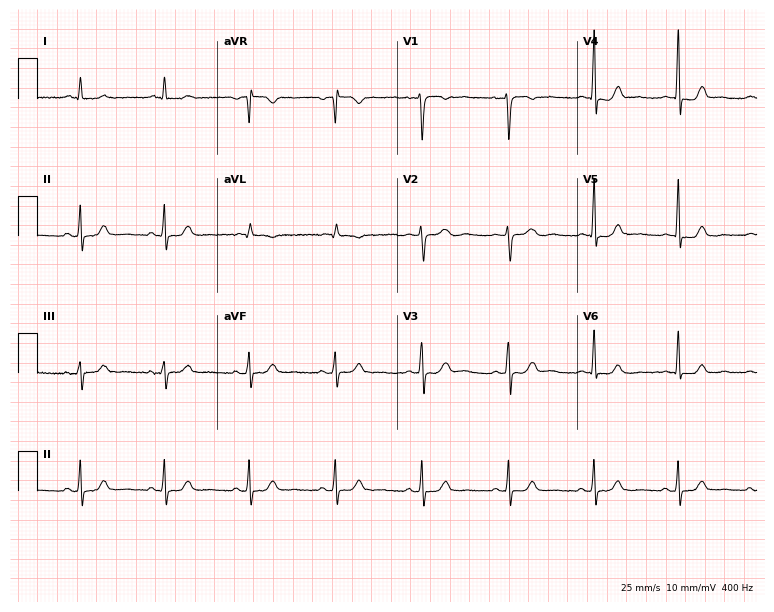
12-lead ECG from a woman, 34 years old. Recorded interpretation: within normal limits.